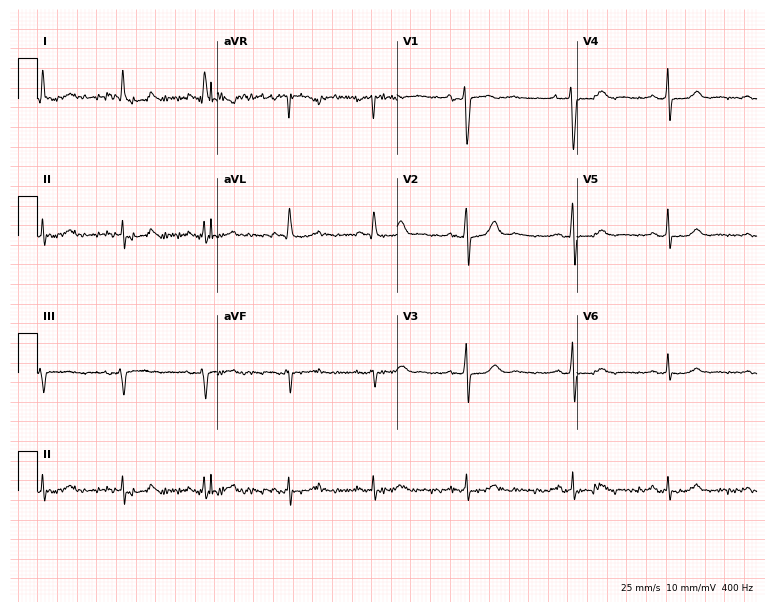
Resting 12-lead electrocardiogram. Patient: a female, 78 years old. Read as a normal ECG.